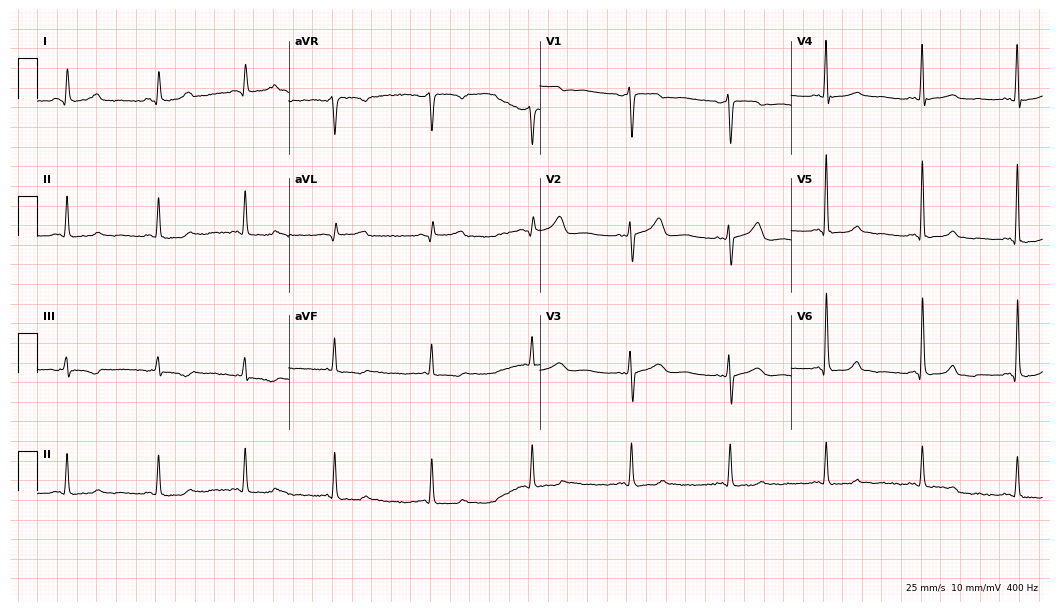
12-lead ECG (10.2-second recording at 400 Hz) from a 56-year-old female. Screened for six findings — first-degree AV block, right bundle branch block, left bundle branch block, sinus bradycardia, atrial fibrillation, sinus tachycardia — none is recorded. Only these six findings were labelled.